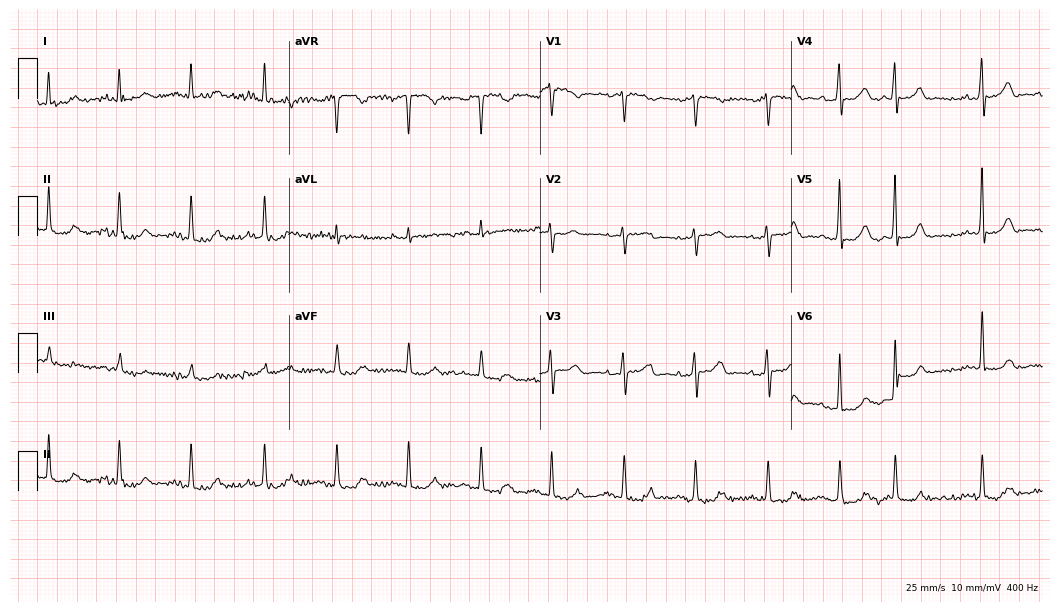
Resting 12-lead electrocardiogram. Patient: a male, 80 years old. None of these six findings is recorded: first-degree AV block, right bundle branch block, left bundle branch block, sinus bradycardia, atrial fibrillation, sinus tachycardia.